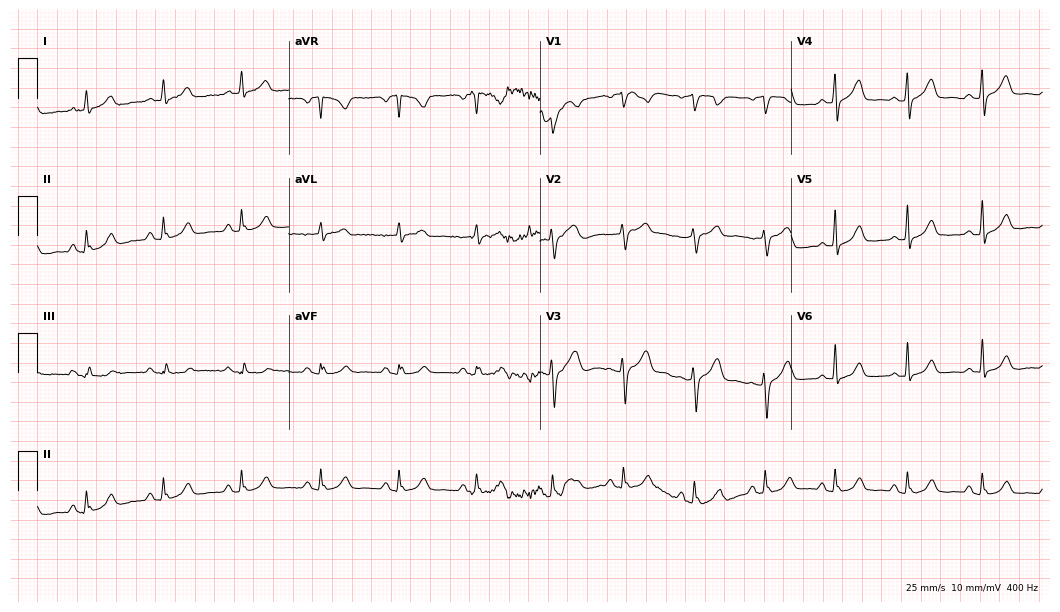
Resting 12-lead electrocardiogram. Patient: a woman, 45 years old. Read as a normal ECG.